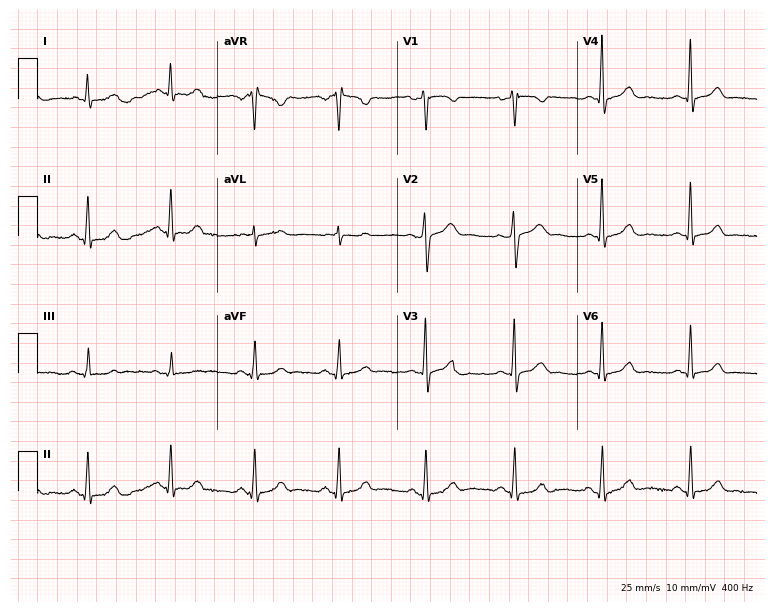
ECG (7.3-second recording at 400 Hz) — a female patient, 43 years old. Screened for six findings — first-degree AV block, right bundle branch block, left bundle branch block, sinus bradycardia, atrial fibrillation, sinus tachycardia — none is recorded. Other findings, if any, are not listed.